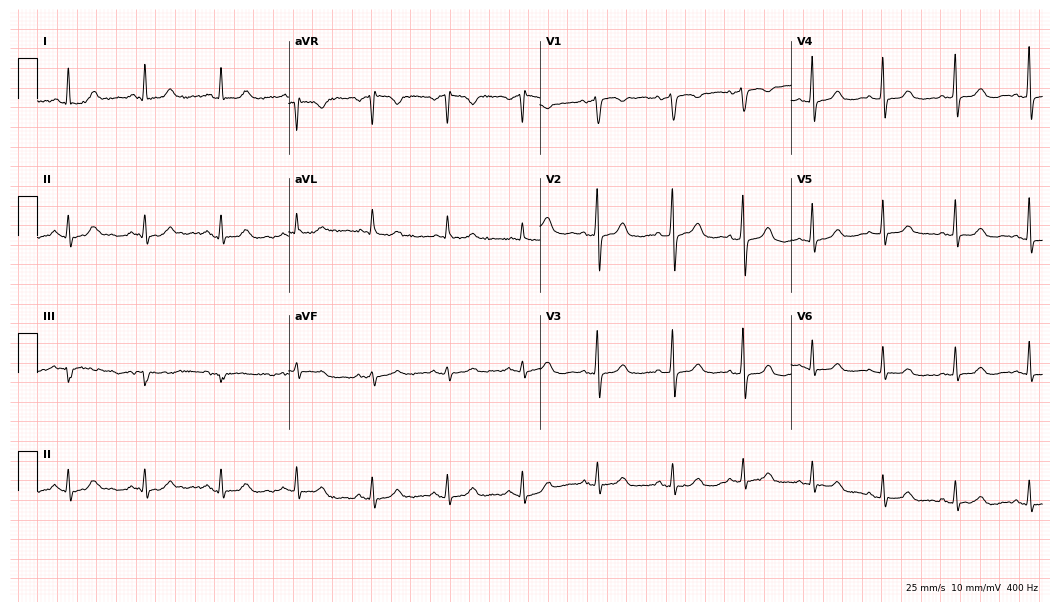
12-lead ECG from a 70-year-old woman. Recorded interpretation: within normal limits.